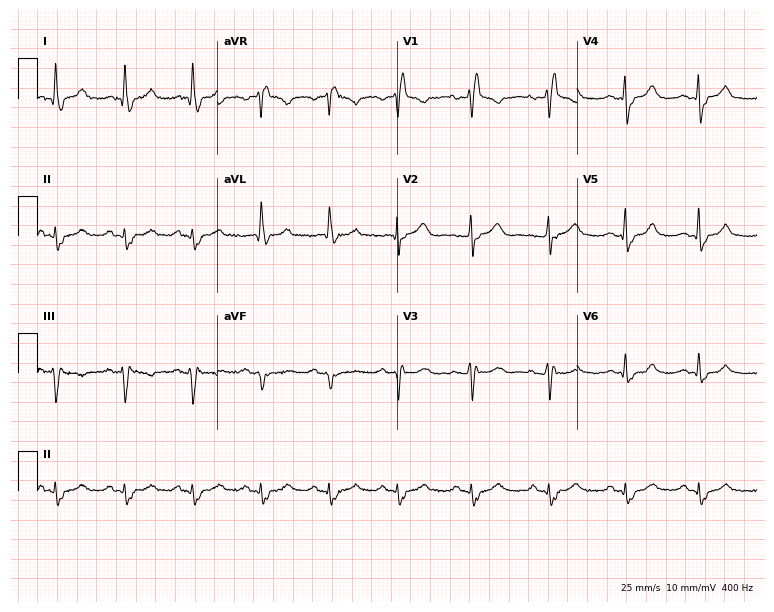
12-lead ECG from a female, 76 years old. Shows right bundle branch block.